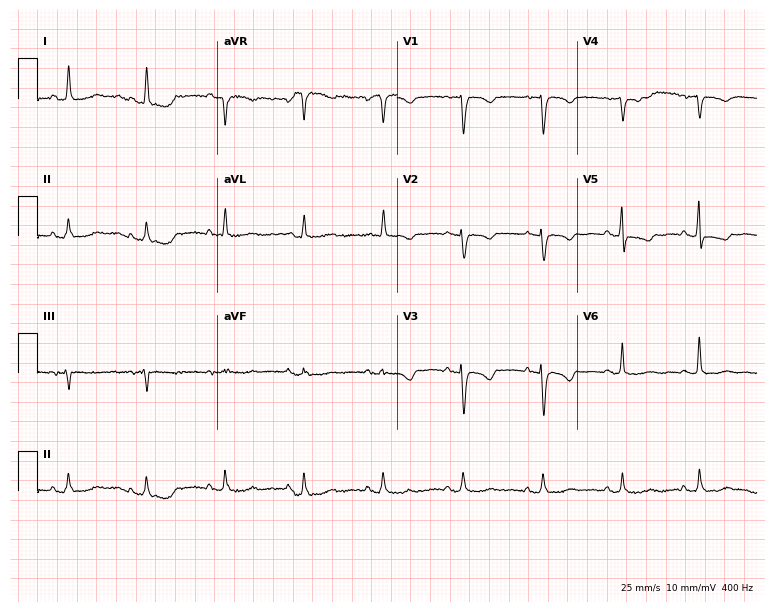
Resting 12-lead electrocardiogram (7.3-second recording at 400 Hz). Patient: a female, 70 years old. None of these six findings is recorded: first-degree AV block, right bundle branch block, left bundle branch block, sinus bradycardia, atrial fibrillation, sinus tachycardia. Only these six findings were labelled.